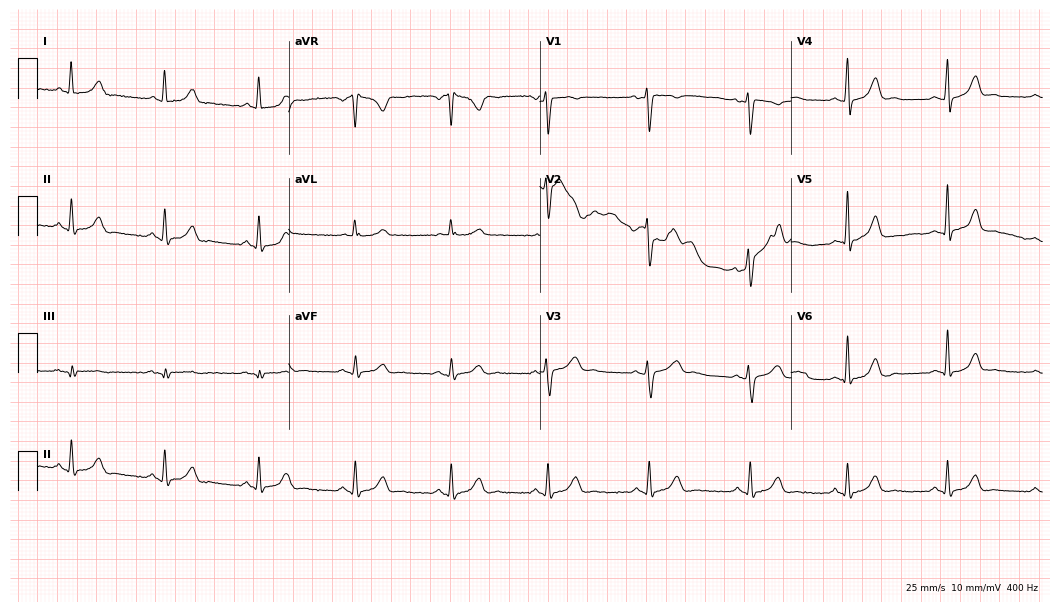
Electrocardiogram (10.2-second recording at 400 Hz), a female, 41 years old. Overall reading on record: normal ECG.